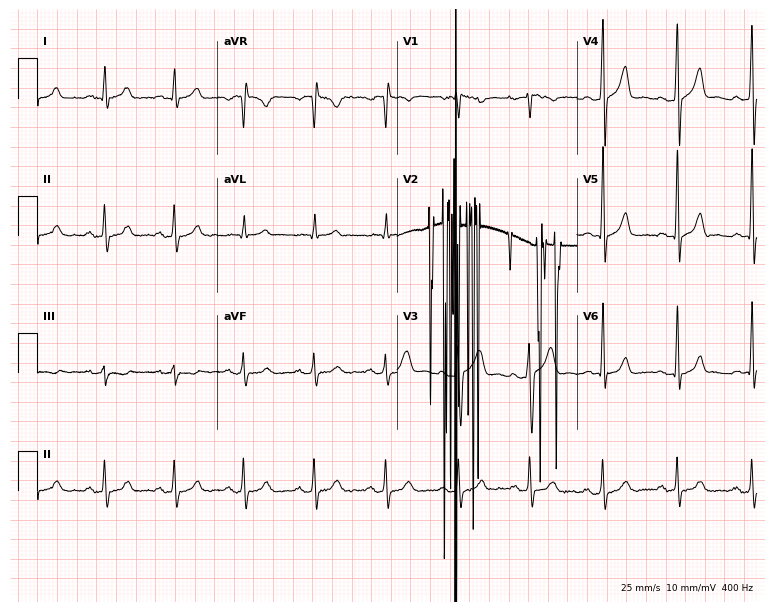
12-lead ECG from a man, 38 years old (7.3-second recording at 400 Hz). No first-degree AV block, right bundle branch block, left bundle branch block, sinus bradycardia, atrial fibrillation or sinus tachycardia recorded for this tracing. Findings outside these six are not listed.